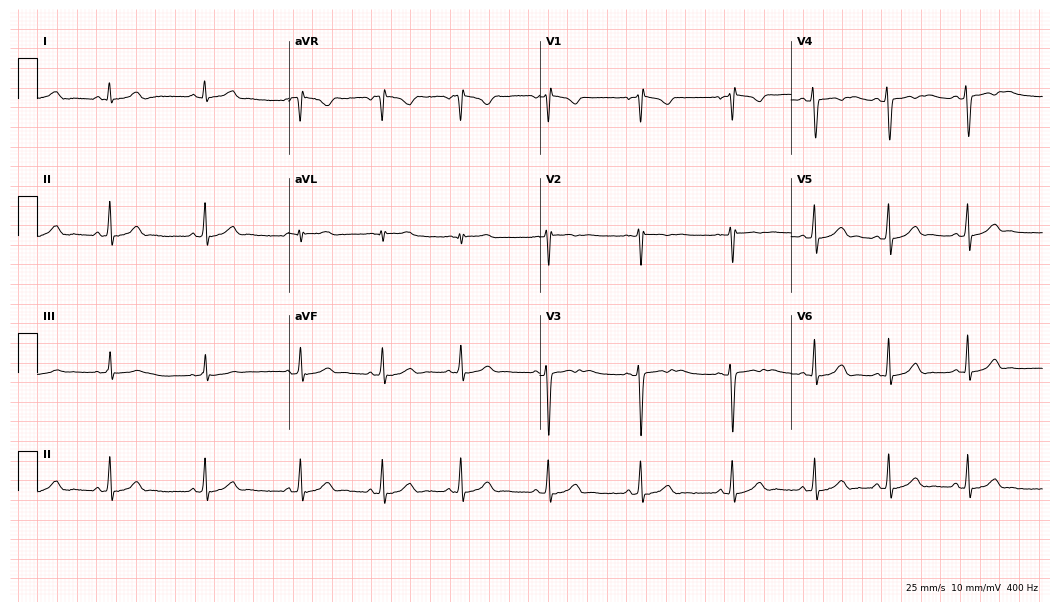
Resting 12-lead electrocardiogram. Patient: a female, 19 years old. None of these six findings is recorded: first-degree AV block, right bundle branch block, left bundle branch block, sinus bradycardia, atrial fibrillation, sinus tachycardia.